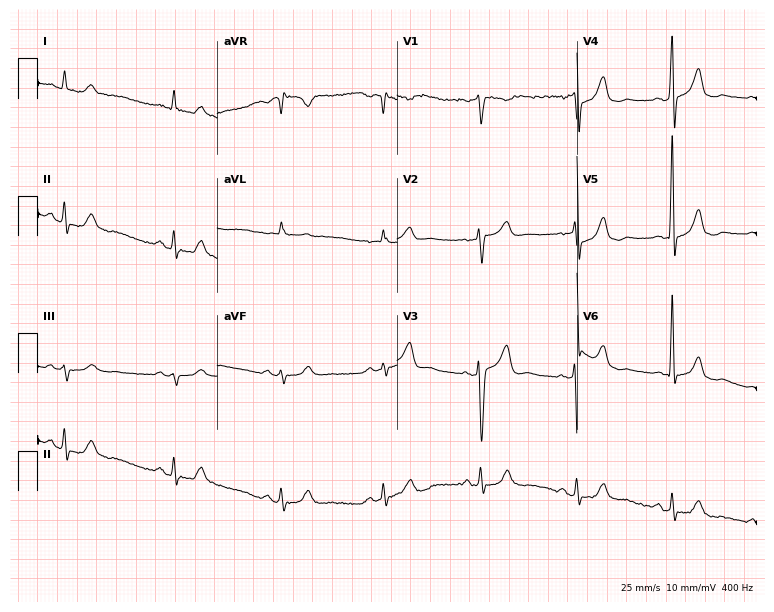
12-lead ECG (7.3-second recording at 400 Hz) from a 58-year-old man. Screened for six findings — first-degree AV block, right bundle branch block, left bundle branch block, sinus bradycardia, atrial fibrillation, sinus tachycardia — none is recorded.